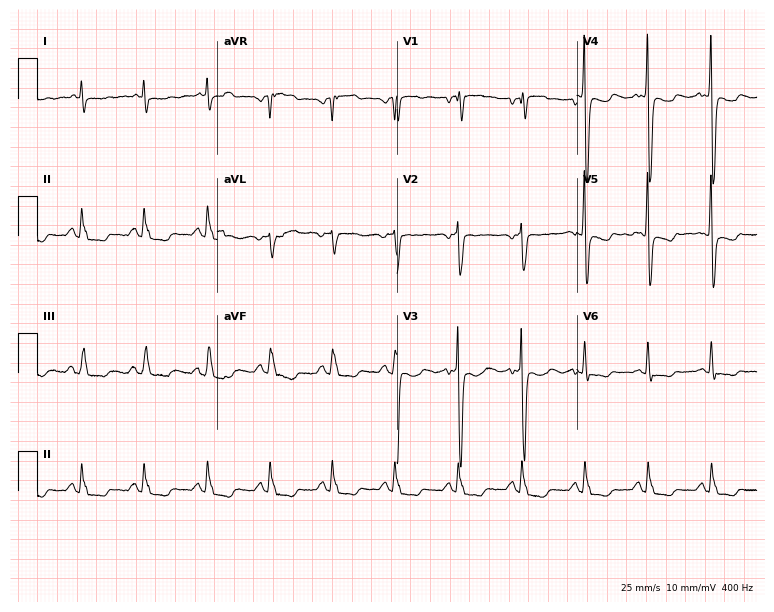
12-lead ECG from a 54-year-old man (7.3-second recording at 400 Hz). No first-degree AV block, right bundle branch block, left bundle branch block, sinus bradycardia, atrial fibrillation or sinus tachycardia recorded for this tracing. Only these six findings were labelled.